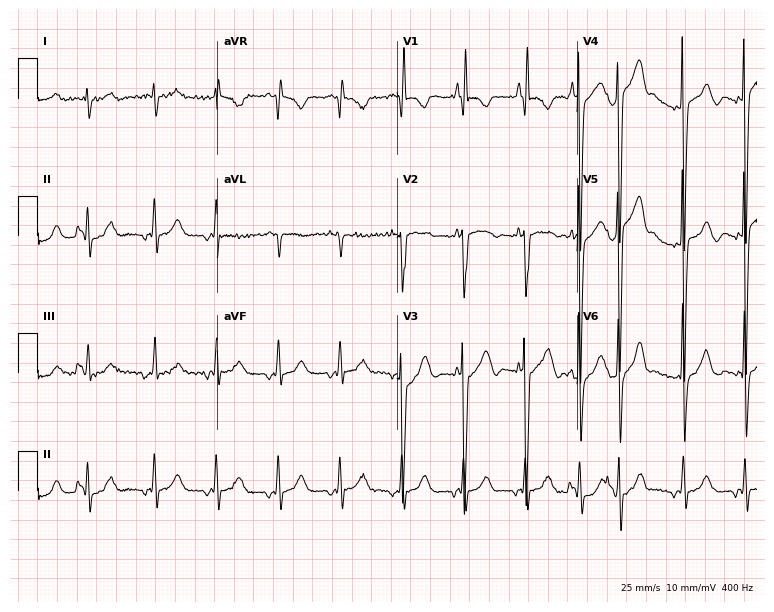
Electrocardiogram, an 83-year-old woman. Of the six screened findings (first-degree AV block, right bundle branch block (RBBB), left bundle branch block (LBBB), sinus bradycardia, atrial fibrillation (AF), sinus tachycardia), none is recorded.